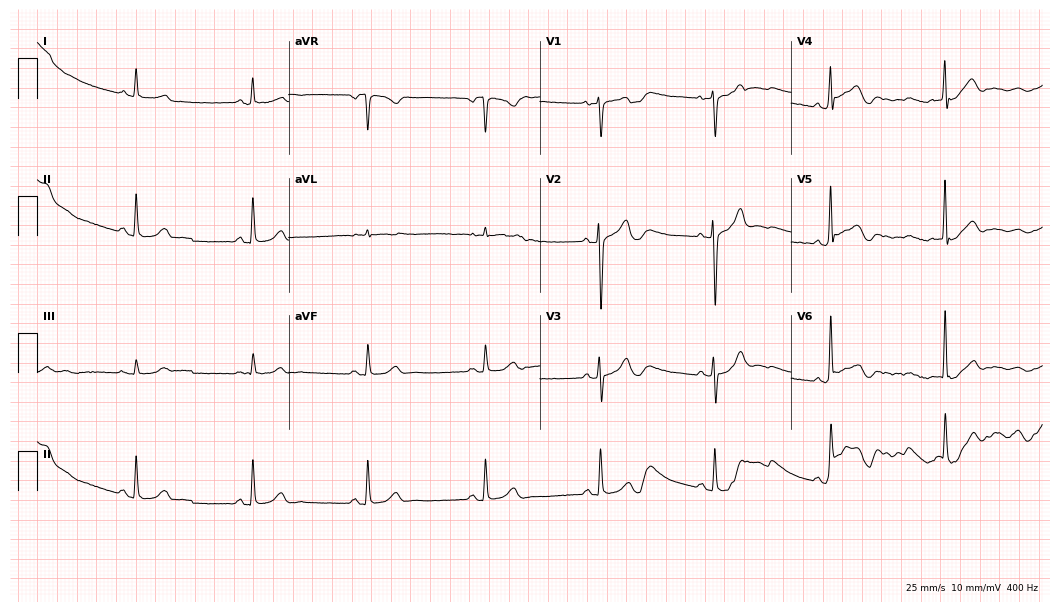
Resting 12-lead electrocardiogram. Patient: a male, 67 years old. None of these six findings is recorded: first-degree AV block, right bundle branch block, left bundle branch block, sinus bradycardia, atrial fibrillation, sinus tachycardia. Findings outside these six are not listed.